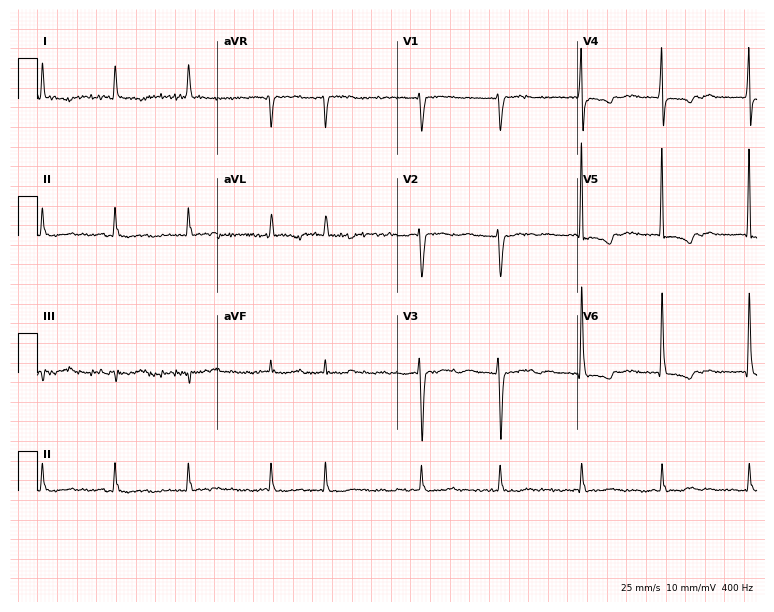
12-lead ECG (7.3-second recording at 400 Hz) from an 80-year-old woman. Findings include atrial fibrillation.